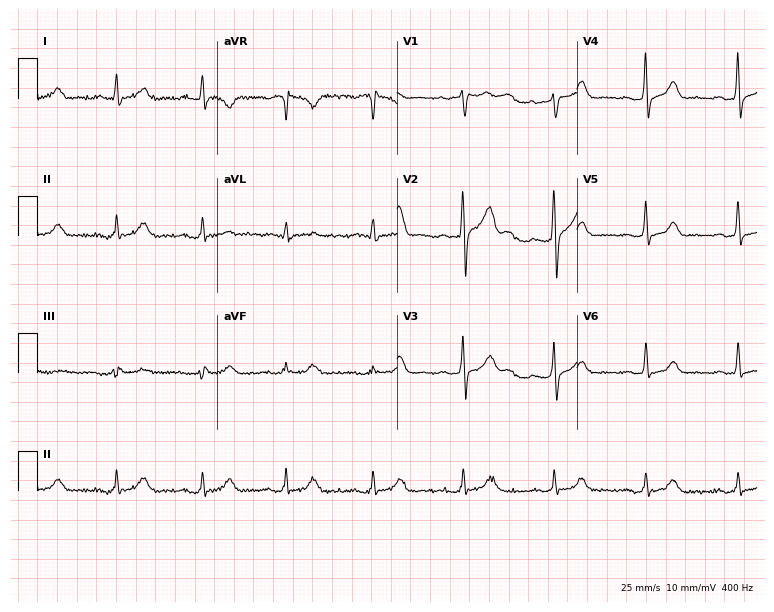
Electrocardiogram, a 71-year-old man. Overall reading on record: normal ECG.